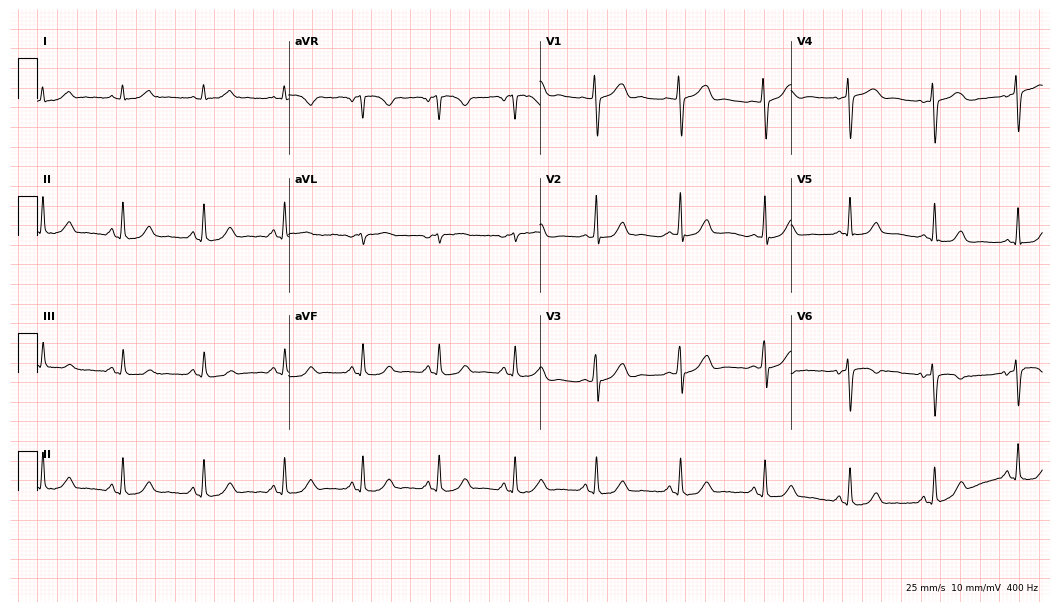
Electrocardiogram, a 32-year-old female patient. Of the six screened findings (first-degree AV block, right bundle branch block, left bundle branch block, sinus bradycardia, atrial fibrillation, sinus tachycardia), none is recorded. Findings outside these six are not listed.